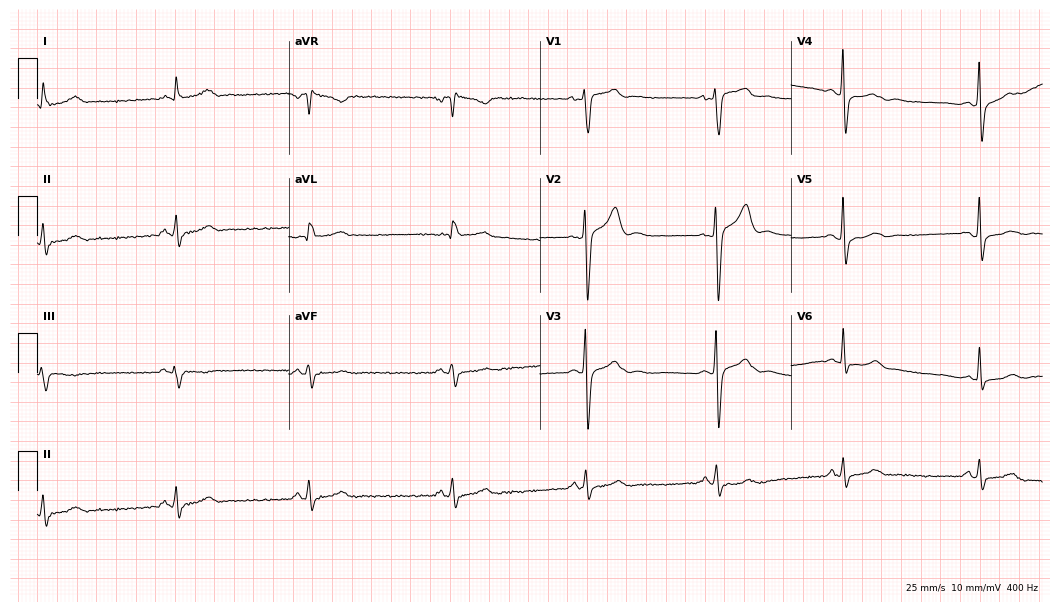
Resting 12-lead electrocardiogram. Patient: a man, 52 years old. The tracing shows sinus bradycardia (a sinus rate of 50 beats per minute or less).